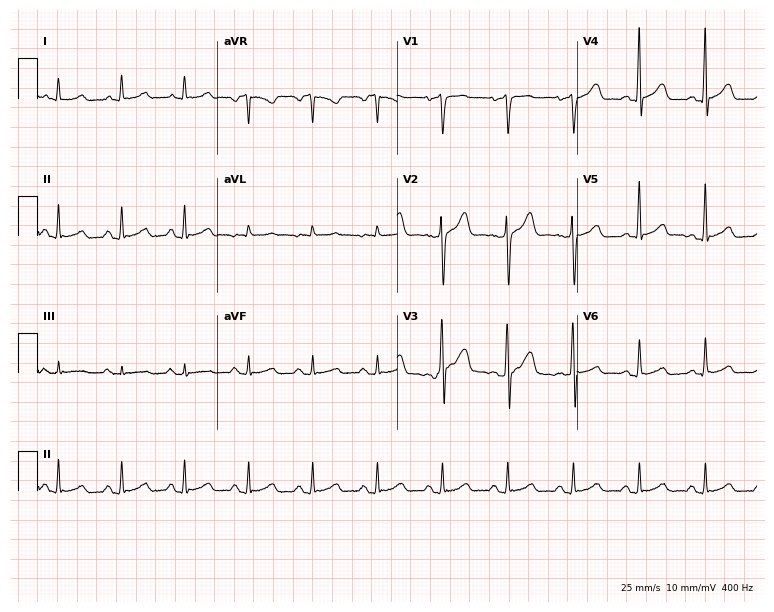
ECG (7.3-second recording at 400 Hz) — a 47-year-old male. Labelled as a normal ECG.